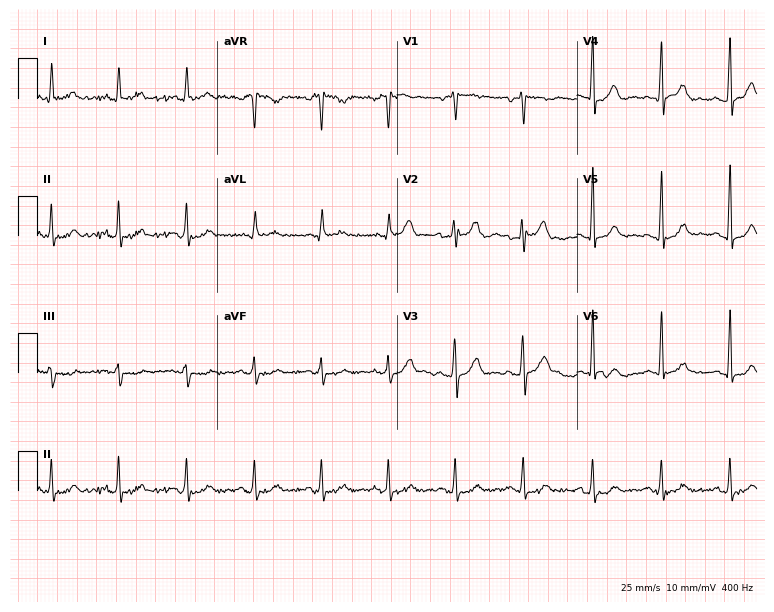
Standard 12-lead ECG recorded from a male patient, 46 years old (7.3-second recording at 400 Hz). None of these six findings is recorded: first-degree AV block, right bundle branch block, left bundle branch block, sinus bradycardia, atrial fibrillation, sinus tachycardia. Other findings, if any, are not listed.